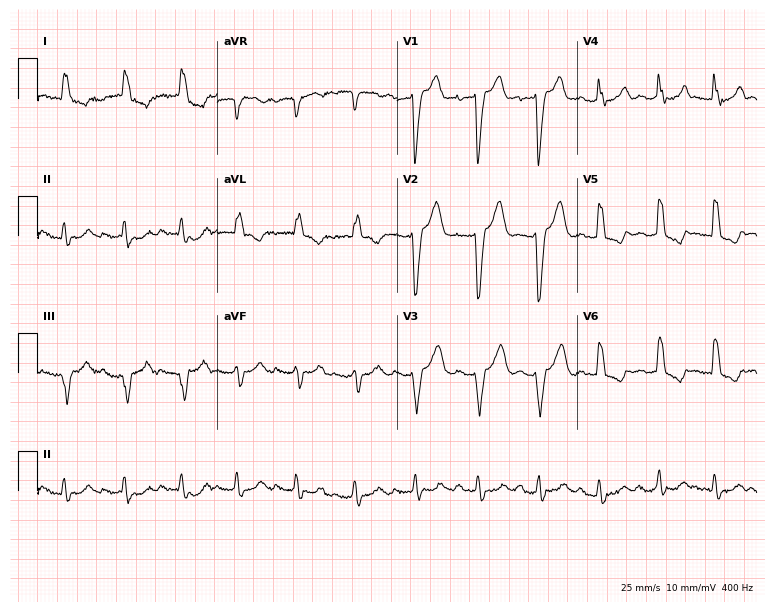
Electrocardiogram, a 78-year-old woman. Of the six screened findings (first-degree AV block, right bundle branch block, left bundle branch block, sinus bradycardia, atrial fibrillation, sinus tachycardia), none is recorded.